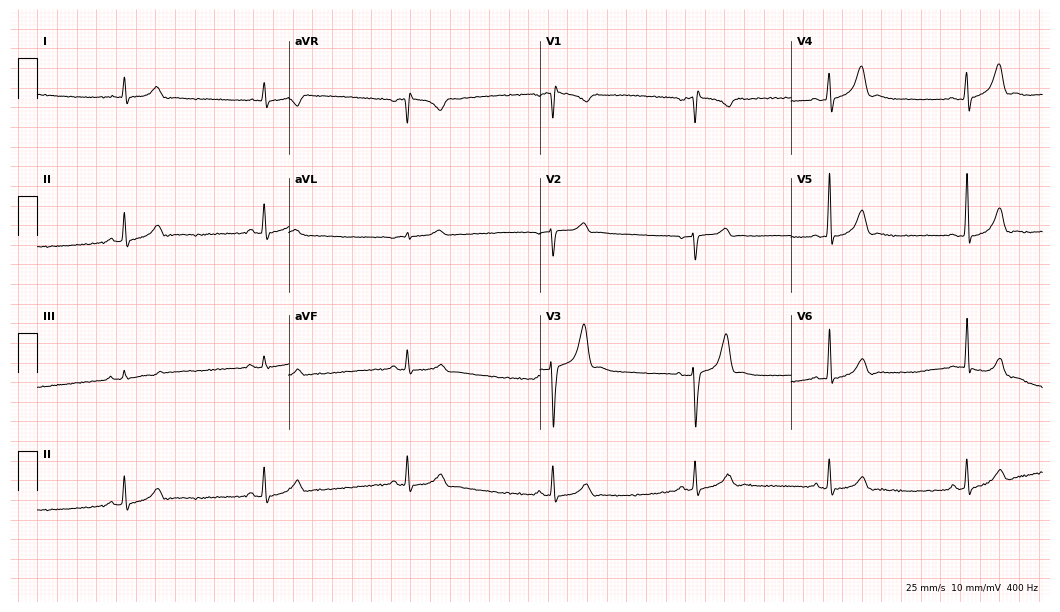
ECG (10.2-second recording at 400 Hz) — a male patient, 41 years old. Screened for six findings — first-degree AV block, right bundle branch block, left bundle branch block, sinus bradycardia, atrial fibrillation, sinus tachycardia — none is recorded.